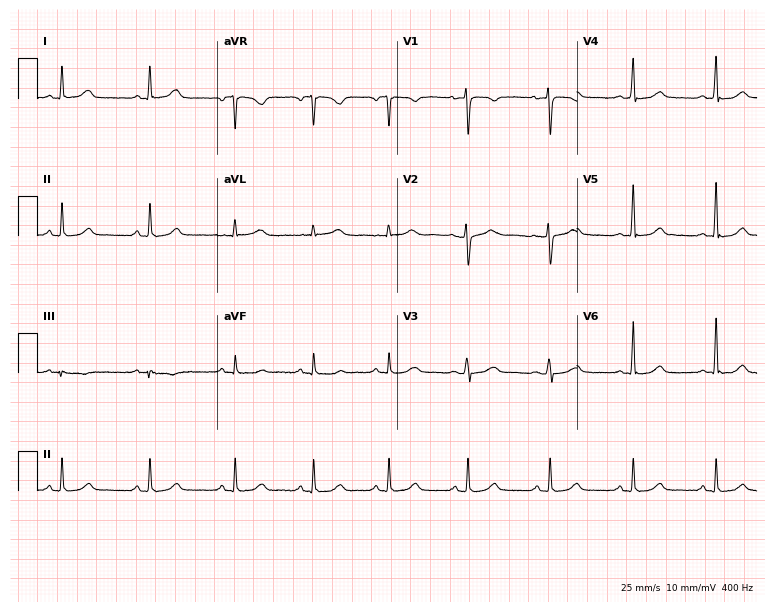
Resting 12-lead electrocardiogram. Patient: a 43-year-old woman. None of these six findings is recorded: first-degree AV block, right bundle branch block (RBBB), left bundle branch block (LBBB), sinus bradycardia, atrial fibrillation (AF), sinus tachycardia.